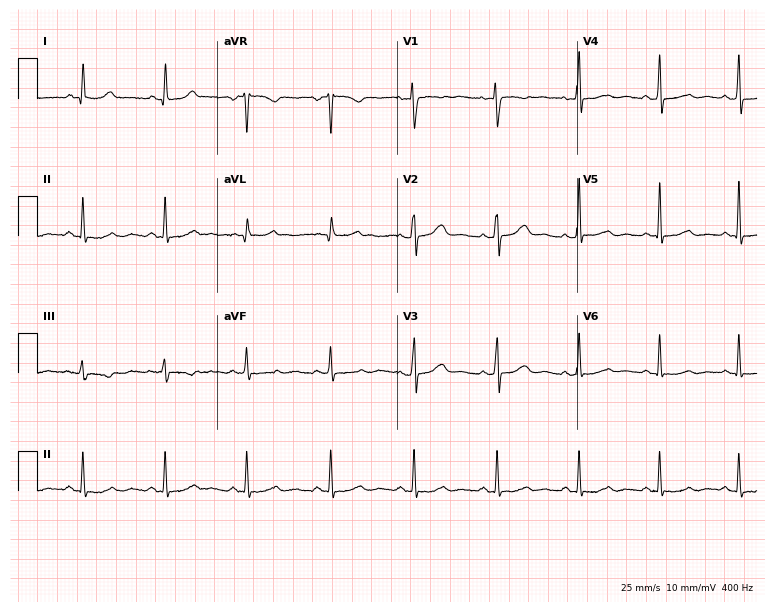
ECG — a woman, 44 years old. Screened for six findings — first-degree AV block, right bundle branch block (RBBB), left bundle branch block (LBBB), sinus bradycardia, atrial fibrillation (AF), sinus tachycardia — none is recorded.